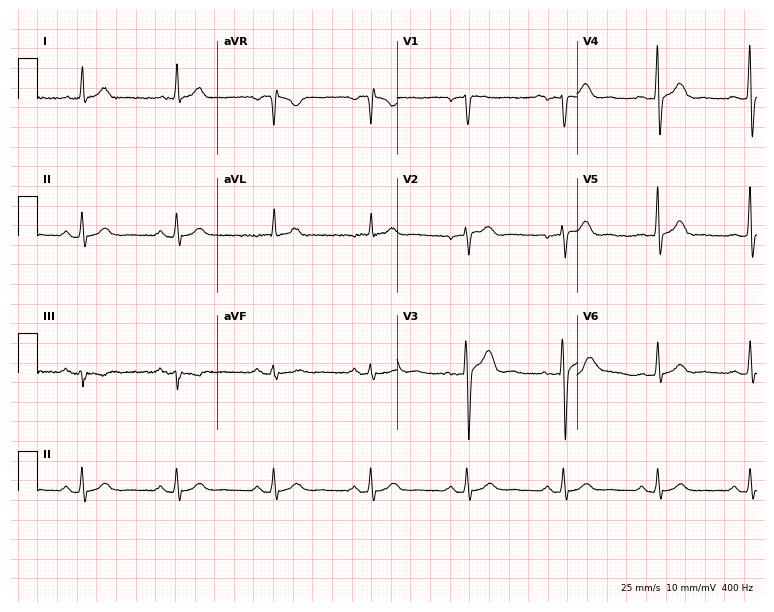
12-lead ECG from a man, 51 years old (7.3-second recording at 400 Hz). Recorded interpretation: within normal limits.